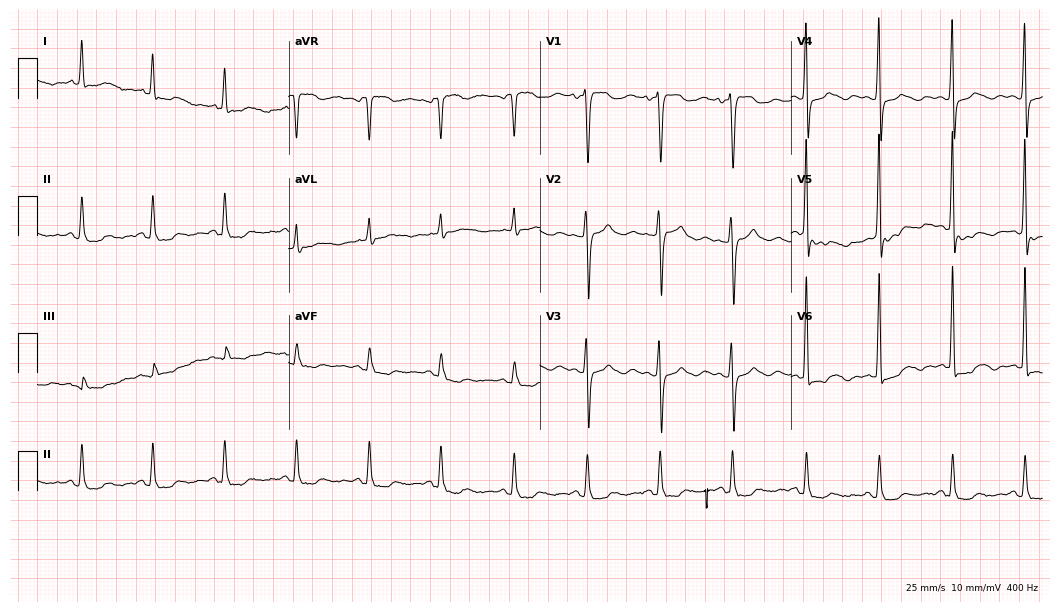
12-lead ECG (10.2-second recording at 400 Hz) from a 73-year-old female patient. Screened for six findings — first-degree AV block, right bundle branch block, left bundle branch block, sinus bradycardia, atrial fibrillation, sinus tachycardia — none is recorded.